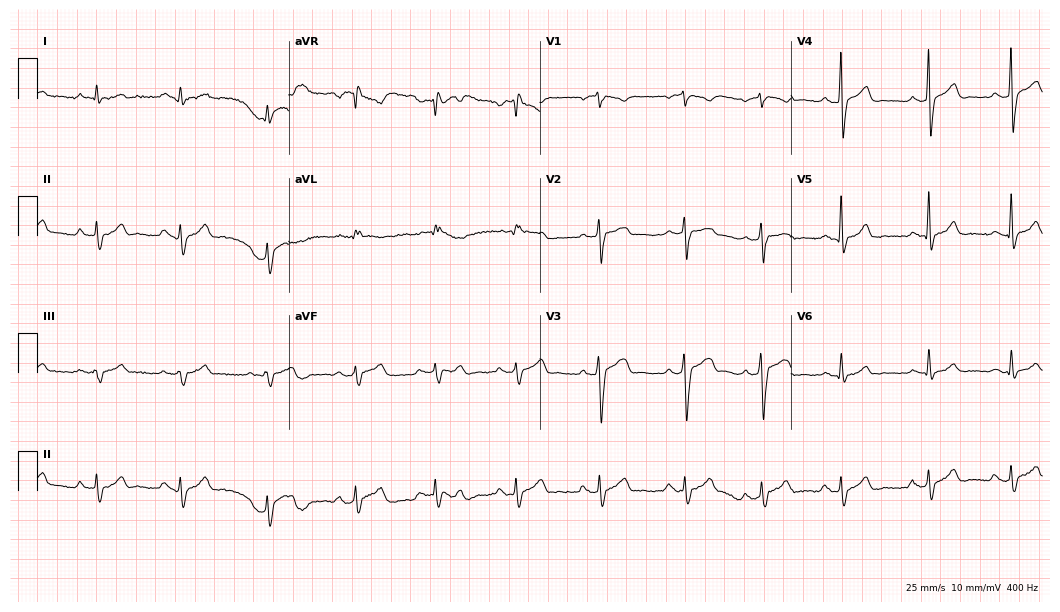
ECG (10.2-second recording at 400 Hz) — a man, 19 years old. Labelled as a normal ECG.